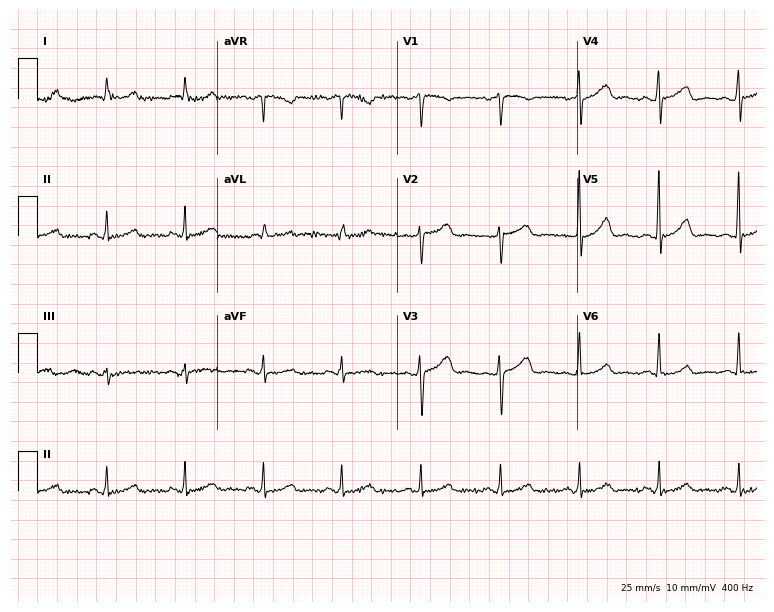
12-lead ECG (7.3-second recording at 400 Hz) from a 46-year-old female. Screened for six findings — first-degree AV block, right bundle branch block, left bundle branch block, sinus bradycardia, atrial fibrillation, sinus tachycardia — none is recorded. Findings outside these six are not listed.